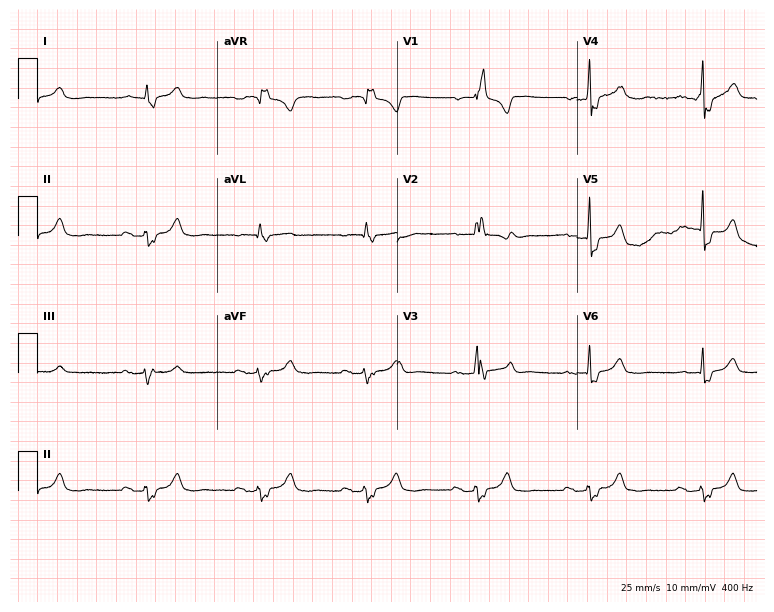
ECG — a male patient, 54 years old. Findings include right bundle branch block.